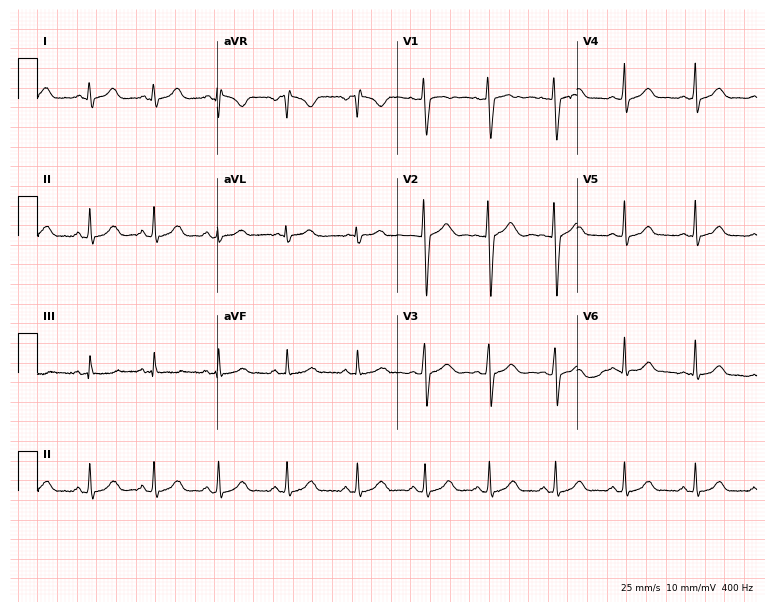
Resting 12-lead electrocardiogram. Patient: a 17-year-old female. None of these six findings is recorded: first-degree AV block, right bundle branch block, left bundle branch block, sinus bradycardia, atrial fibrillation, sinus tachycardia. Other findings, if any, are not listed.